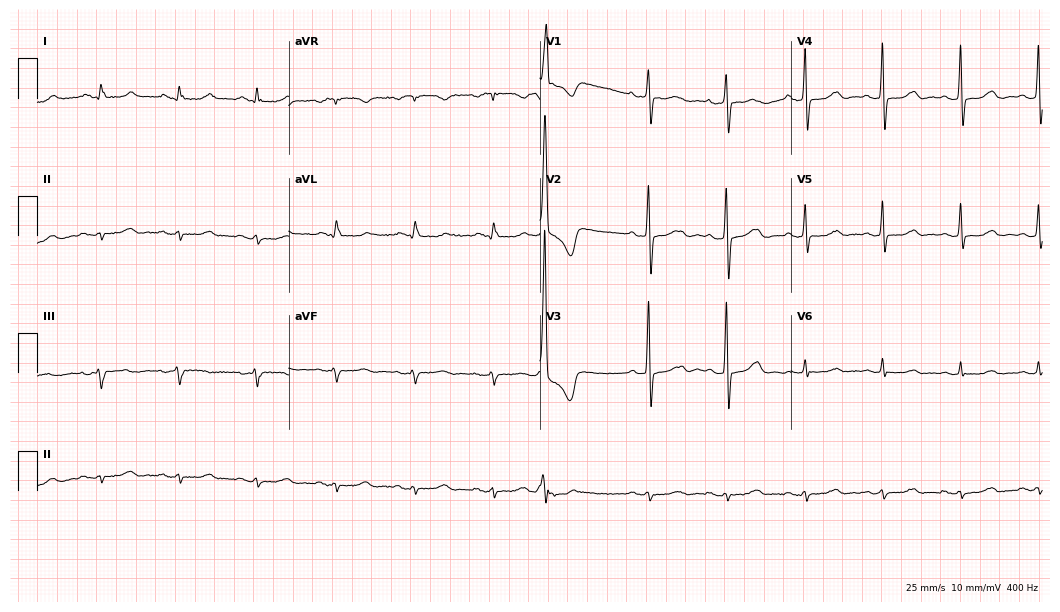
Resting 12-lead electrocardiogram. Patient: a female, 78 years old. Read as a normal ECG.